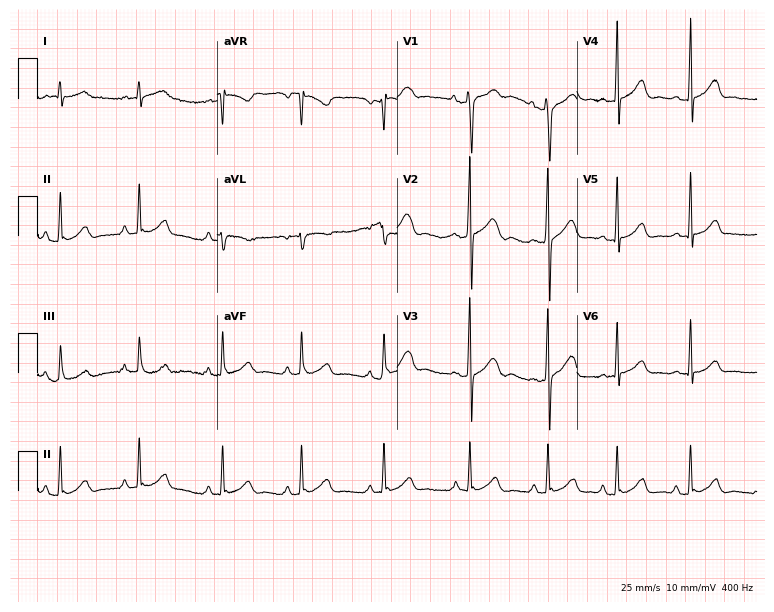
12-lead ECG from a 21-year-old man (7.3-second recording at 400 Hz). Recorded interpretation: within normal limits.